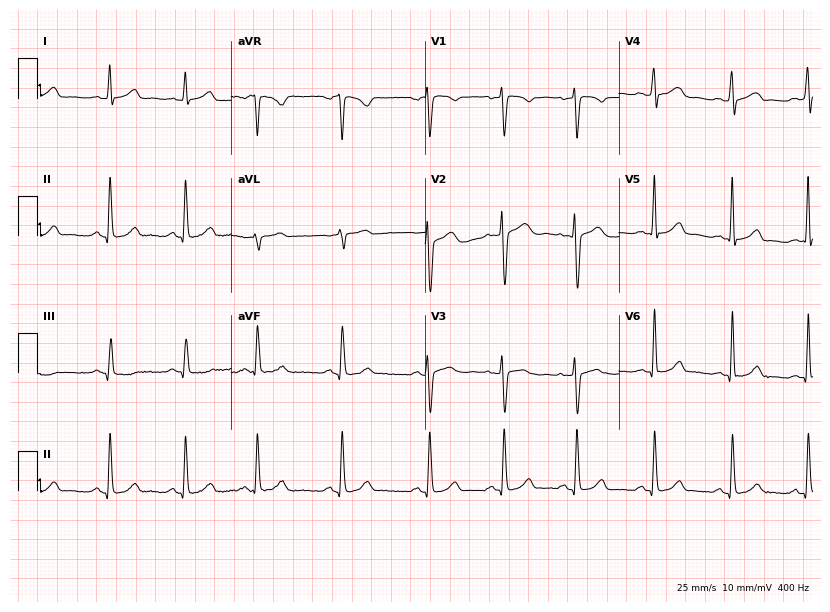
ECG (7.9-second recording at 400 Hz) — a 43-year-old female. Screened for six findings — first-degree AV block, right bundle branch block (RBBB), left bundle branch block (LBBB), sinus bradycardia, atrial fibrillation (AF), sinus tachycardia — none is recorded.